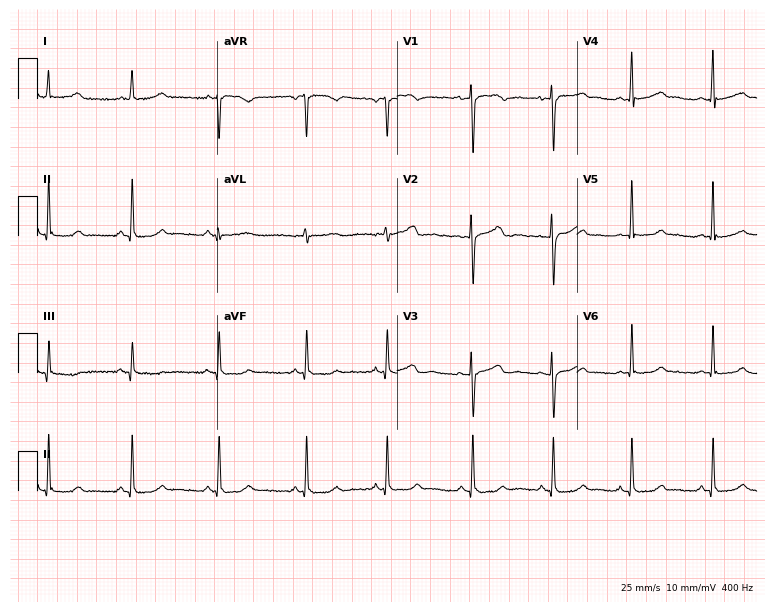
Electrocardiogram (7.3-second recording at 400 Hz), a 37-year-old female. Overall reading on record: normal ECG.